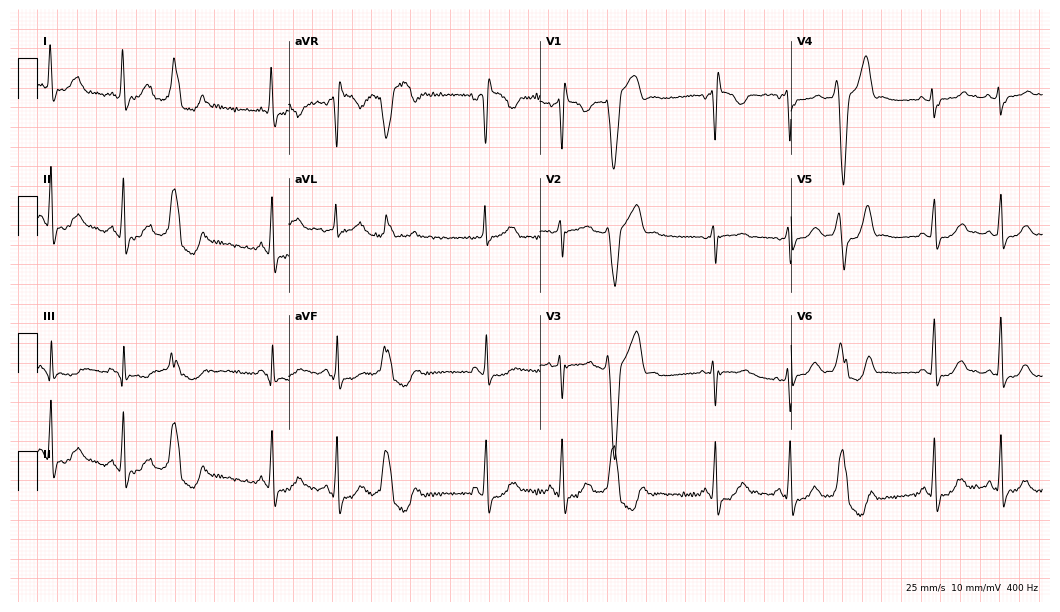
Standard 12-lead ECG recorded from a woman, 48 years old. None of these six findings is recorded: first-degree AV block, right bundle branch block, left bundle branch block, sinus bradycardia, atrial fibrillation, sinus tachycardia.